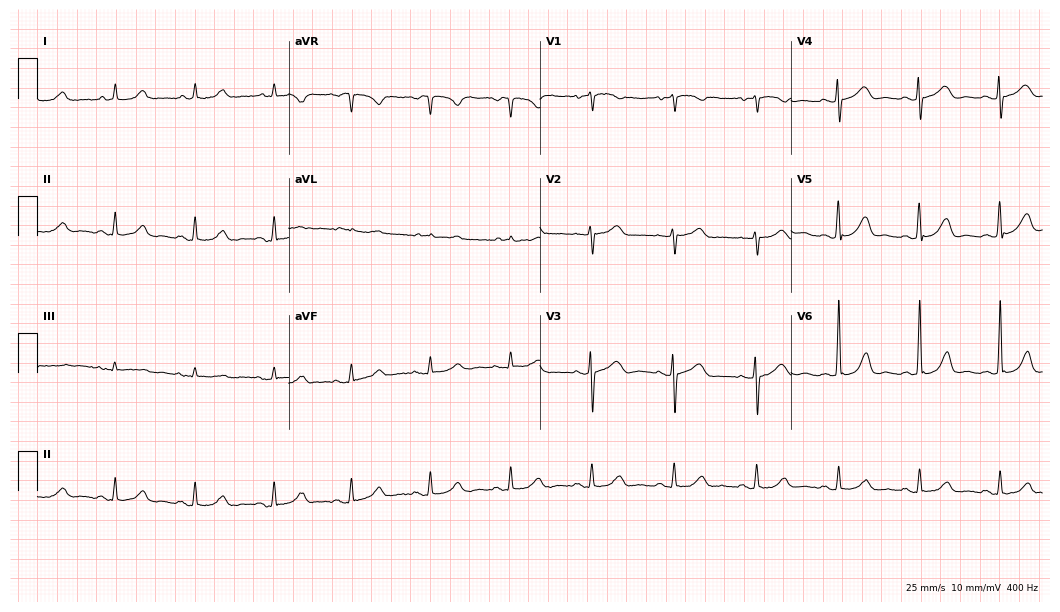
12-lead ECG from a female patient, 61 years old. Labelled as a normal ECG.